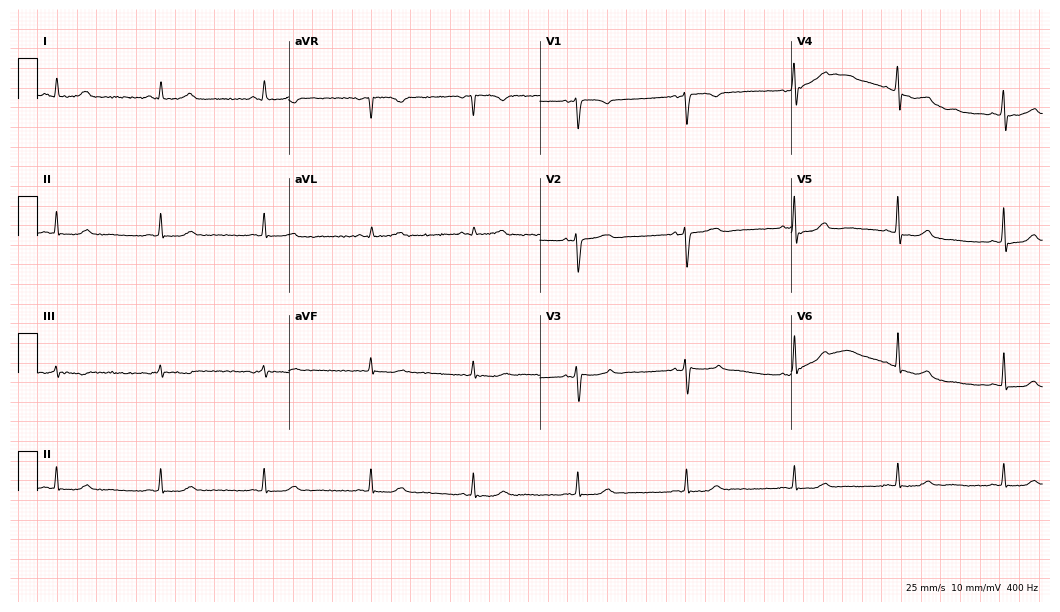
Standard 12-lead ECG recorded from a female, 50 years old. None of these six findings is recorded: first-degree AV block, right bundle branch block, left bundle branch block, sinus bradycardia, atrial fibrillation, sinus tachycardia.